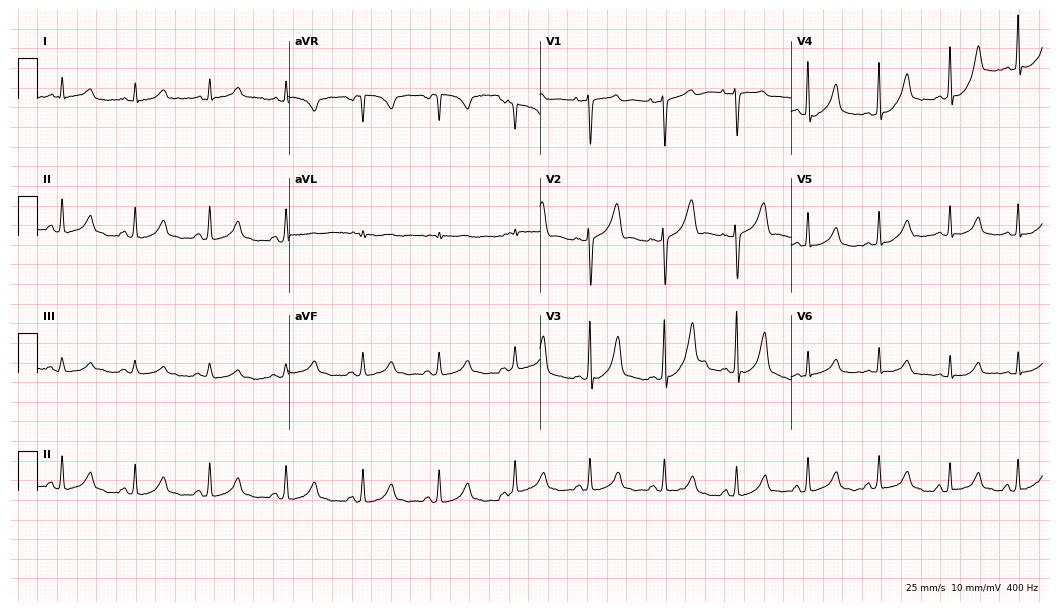
Electrocardiogram (10.2-second recording at 400 Hz), a 26-year-old female patient. Overall reading on record: normal ECG.